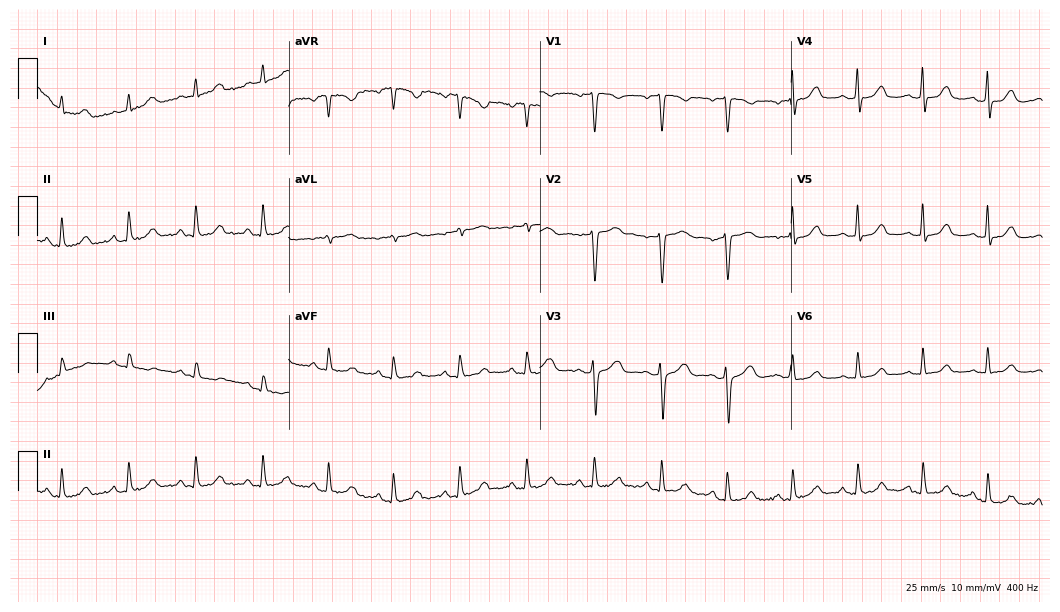
Resting 12-lead electrocardiogram (10.2-second recording at 400 Hz). Patient: a female, 39 years old. Read as a normal ECG.